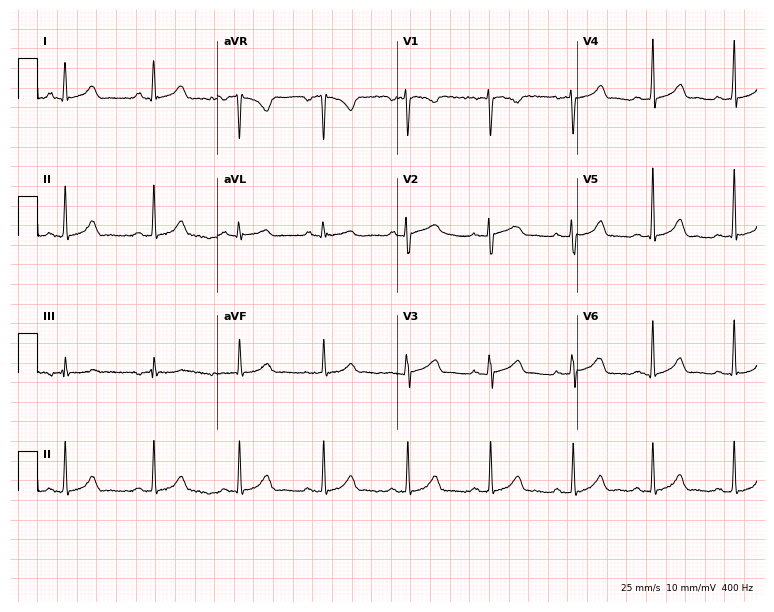
12-lead ECG from a 34-year-old female. Recorded interpretation: within normal limits.